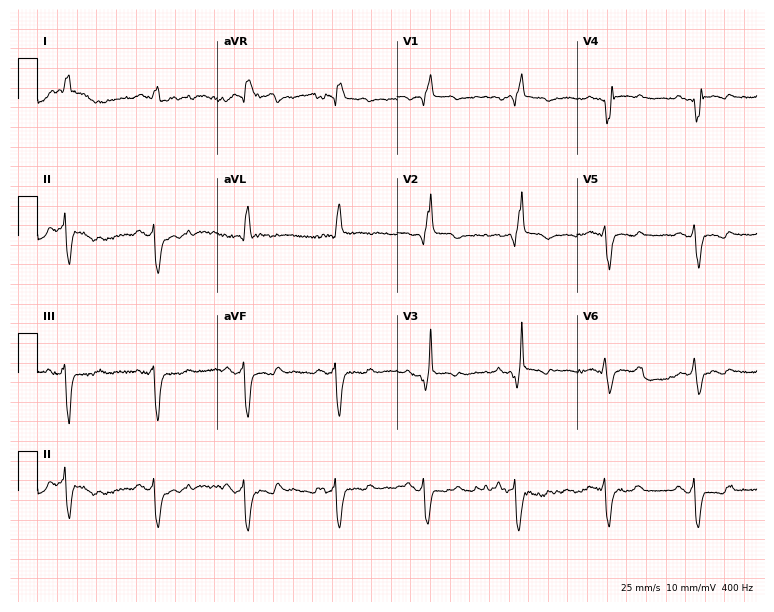
Resting 12-lead electrocardiogram. Patient: a man, 75 years old. None of these six findings is recorded: first-degree AV block, right bundle branch block, left bundle branch block, sinus bradycardia, atrial fibrillation, sinus tachycardia.